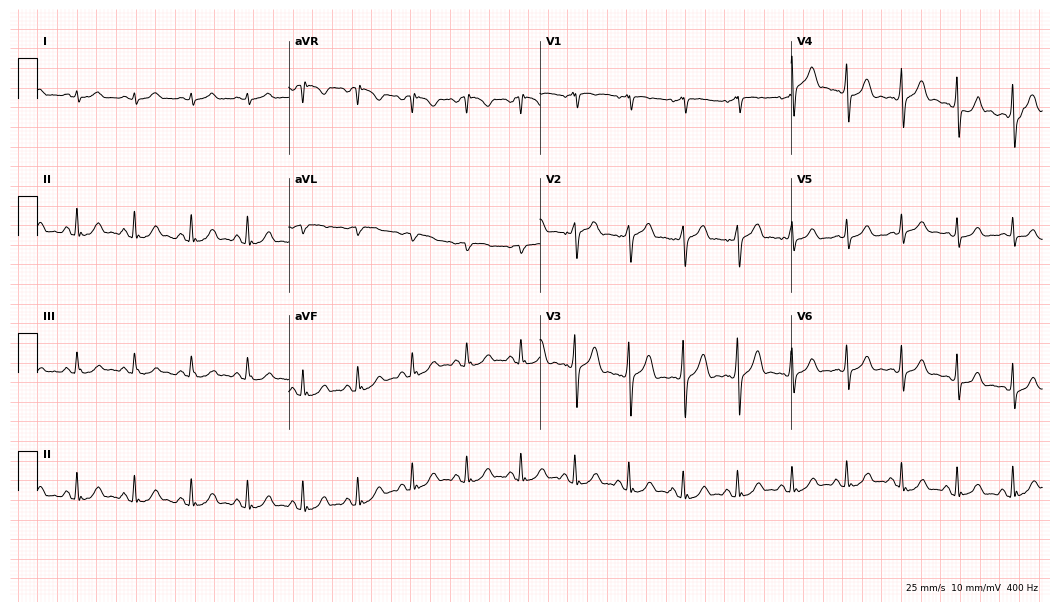
Resting 12-lead electrocardiogram. Patient: a male, 72 years old. None of these six findings is recorded: first-degree AV block, right bundle branch block, left bundle branch block, sinus bradycardia, atrial fibrillation, sinus tachycardia.